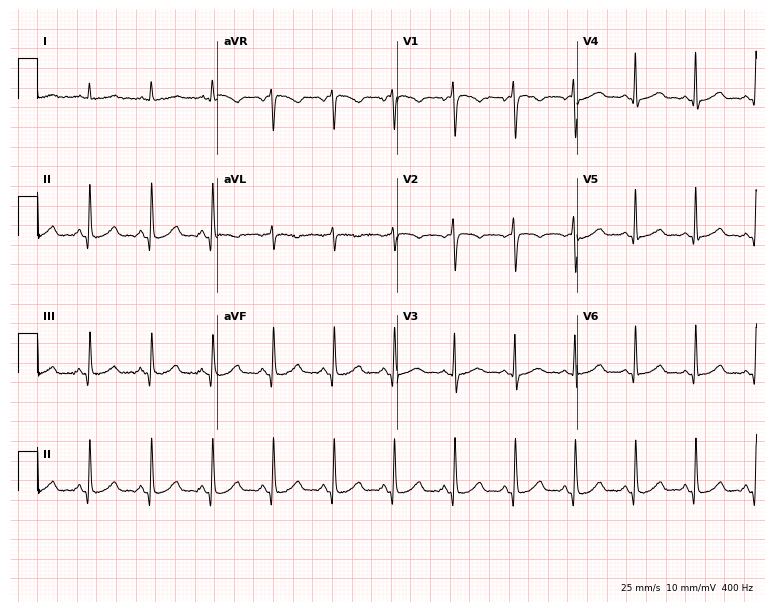
Electrocardiogram, a female, 56 years old. Of the six screened findings (first-degree AV block, right bundle branch block (RBBB), left bundle branch block (LBBB), sinus bradycardia, atrial fibrillation (AF), sinus tachycardia), none is recorded.